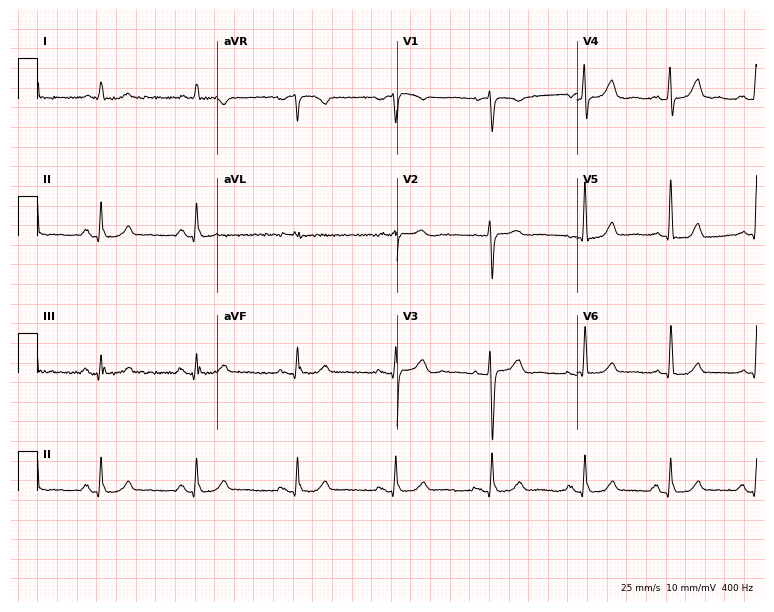
12-lead ECG (7.3-second recording at 400 Hz) from a 72-year-old male. Labelled as a normal ECG.